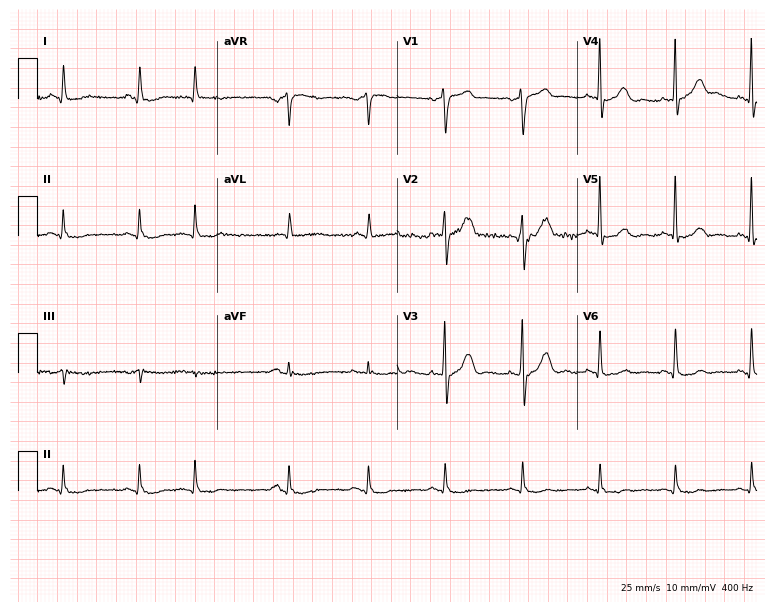
12-lead ECG from an 82-year-old male (7.3-second recording at 400 Hz). No first-degree AV block, right bundle branch block, left bundle branch block, sinus bradycardia, atrial fibrillation or sinus tachycardia recorded for this tracing.